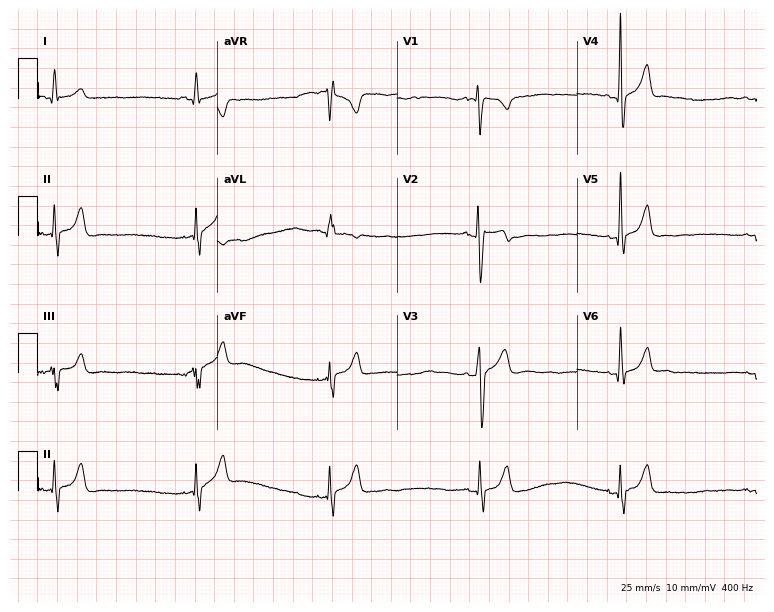
ECG — a 17-year-old male patient. Screened for six findings — first-degree AV block, right bundle branch block (RBBB), left bundle branch block (LBBB), sinus bradycardia, atrial fibrillation (AF), sinus tachycardia — none is recorded. Findings outside these six are not listed.